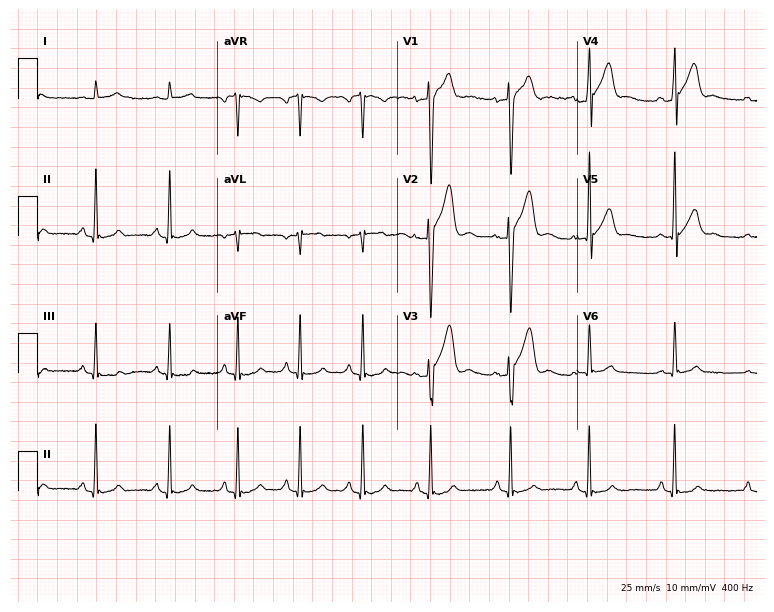
12-lead ECG (7.3-second recording at 400 Hz) from a 22-year-old man. Screened for six findings — first-degree AV block, right bundle branch block, left bundle branch block, sinus bradycardia, atrial fibrillation, sinus tachycardia — none is recorded.